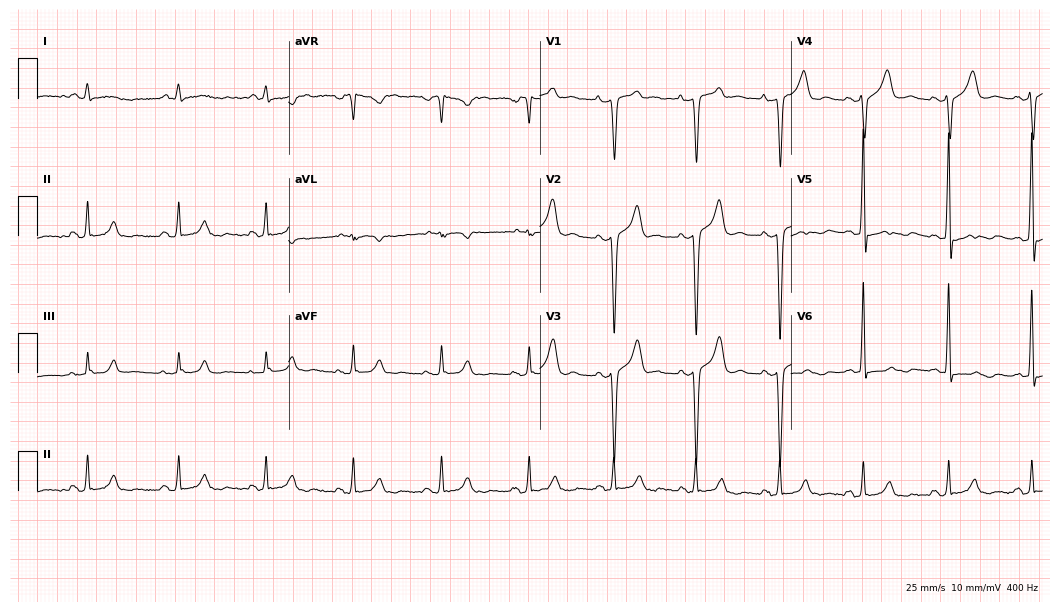
12-lead ECG from a male, 37 years old. Screened for six findings — first-degree AV block, right bundle branch block, left bundle branch block, sinus bradycardia, atrial fibrillation, sinus tachycardia — none is recorded.